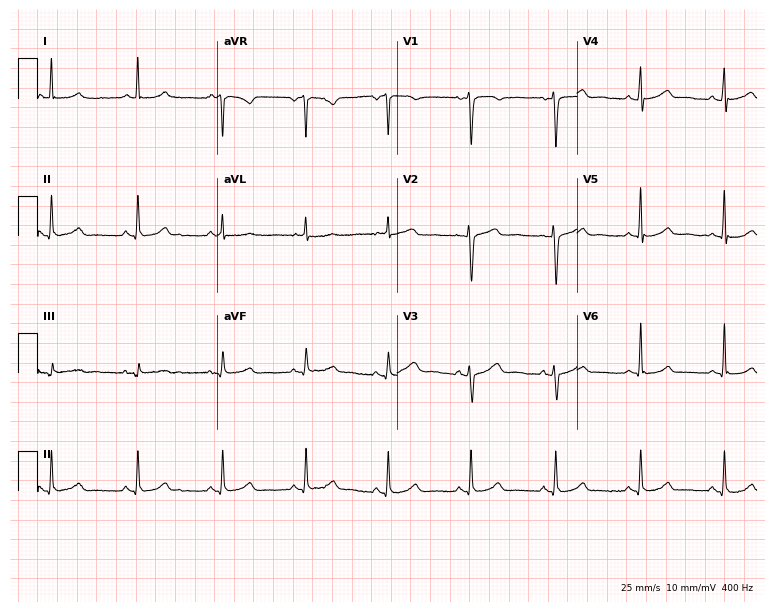
Resting 12-lead electrocardiogram (7.3-second recording at 400 Hz). Patient: a female, 35 years old. Read as a normal ECG.